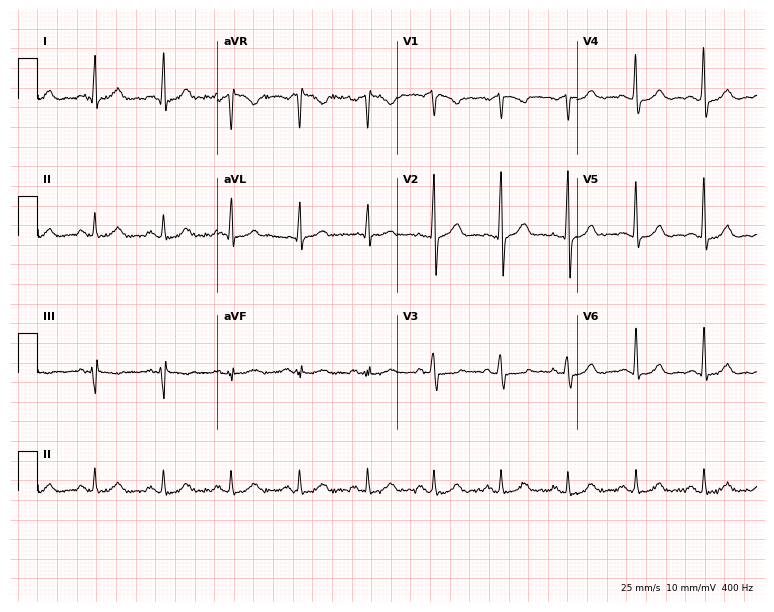
ECG (7.3-second recording at 400 Hz) — a male patient, 47 years old. Labelled as a normal ECG.